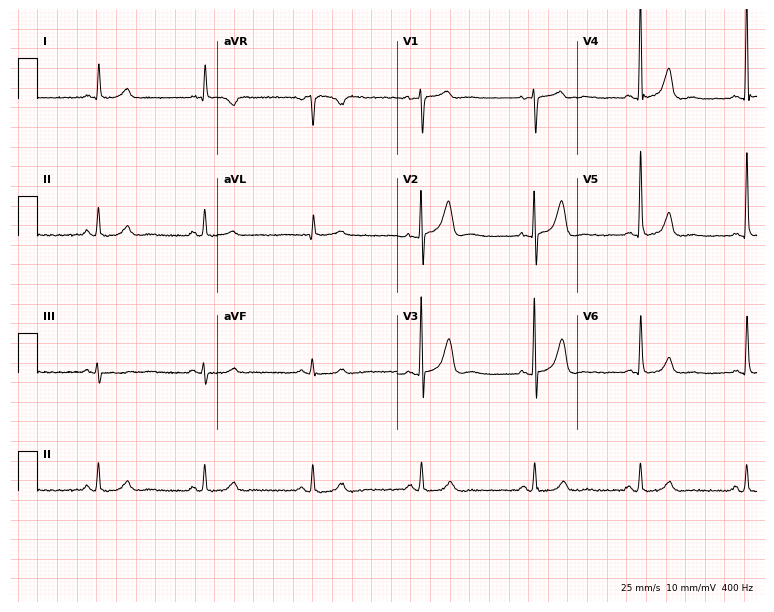
Resting 12-lead electrocardiogram (7.3-second recording at 400 Hz). Patient: a male, 80 years old. None of these six findings is recorded: first-degree AV block, right bundle branch block, left bundle branch block, sinus bradycardia, atrial fibrillation, sinus tachycardia. Findings outside these six are not listed.